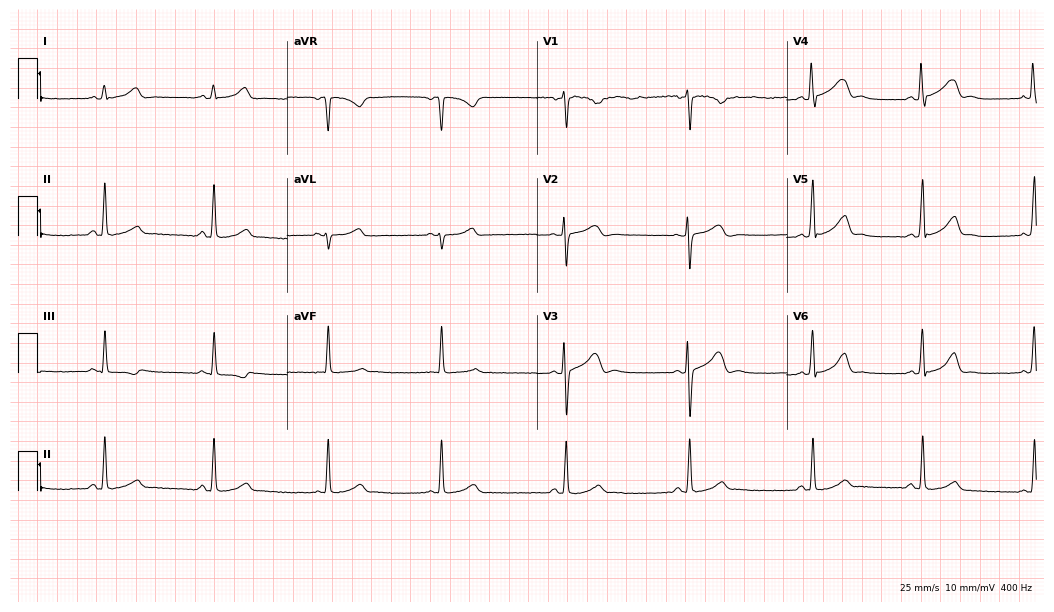
12-lead ECG (10.2-second recording at 400 Hz) from a 19-year-old female. Findings include sinus bradycardia (a sinus rate of 50 beats per minute or less).